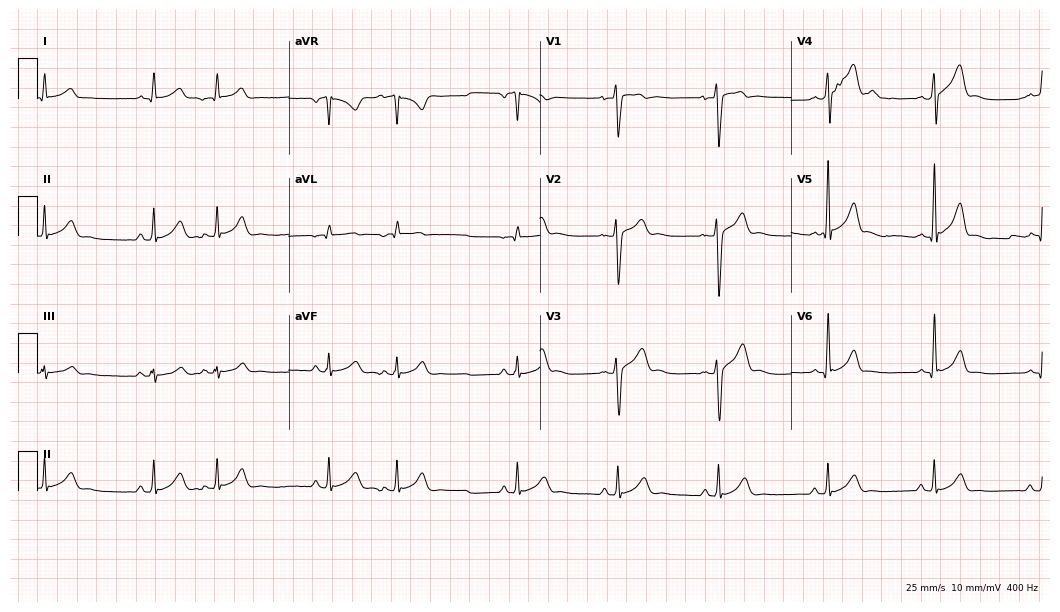
12-lead ECG from a 21-year-old man. Screened for six findings — first-degree AV block, right bundle branch block, left bundle branch block, sinus bradycardia, atrial fibrillation, sinus tachycardia — none is recorded. Other findings, if any, are not listed.